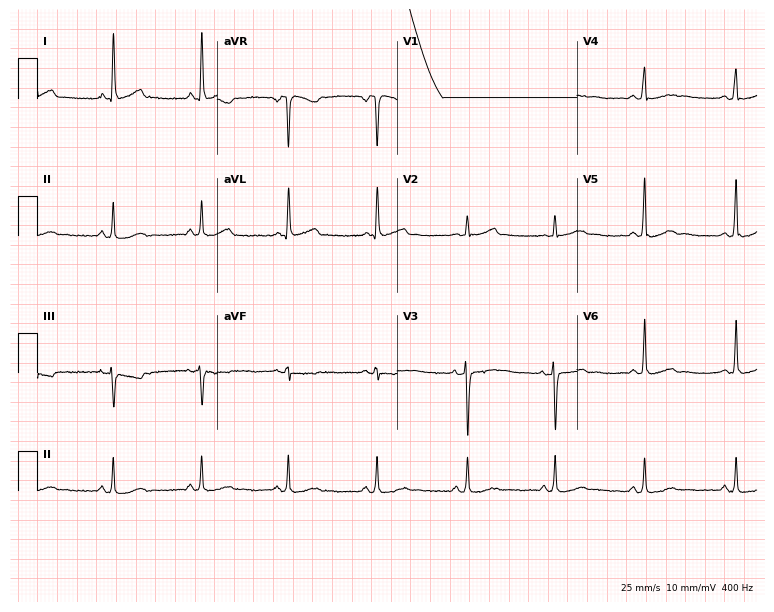
Resting 12-lead electrocardiogram. Patient: a female, 41 years old. None of these six findings is recorded: first-degree AV block, right bundle branch block, left bundle branch block, sinus bradycardia, atrial fibrillation, sinus tachycardia.